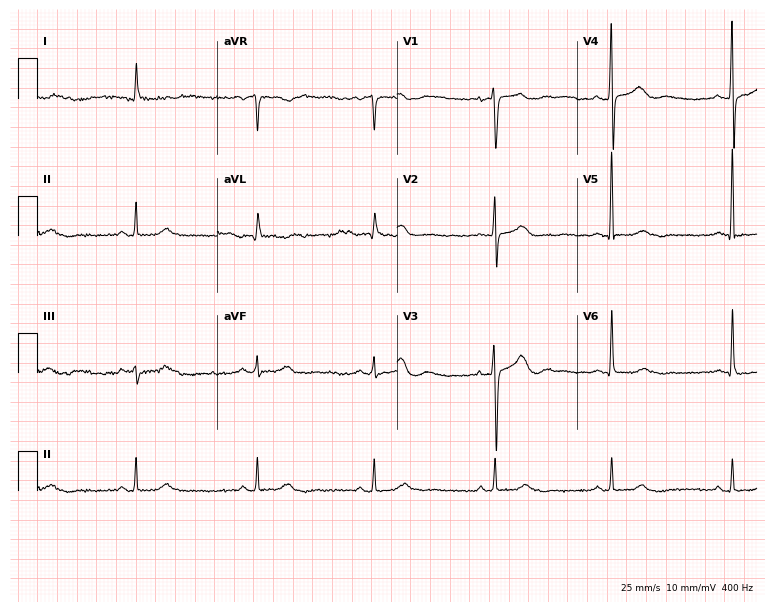
12-lead ECG from a 69-year-old female. No first-degree AV block, right bundle branch block, left bundle branch block, sinus bradycardia, atrial fibrillation or sinus tachycardia recorded for this tracing. Findings outside these six are not listed.